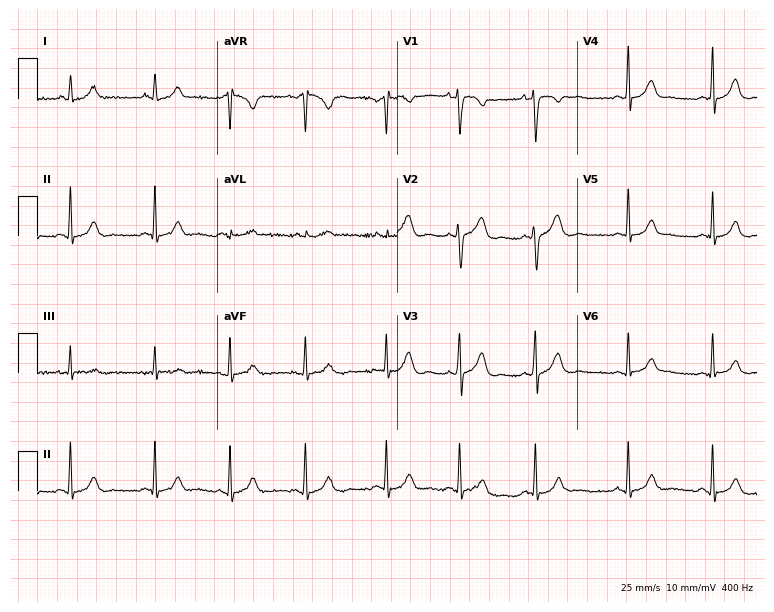
12-lead ECG from a female patient, 17 years old. Recorded interpretation: within normal limits.